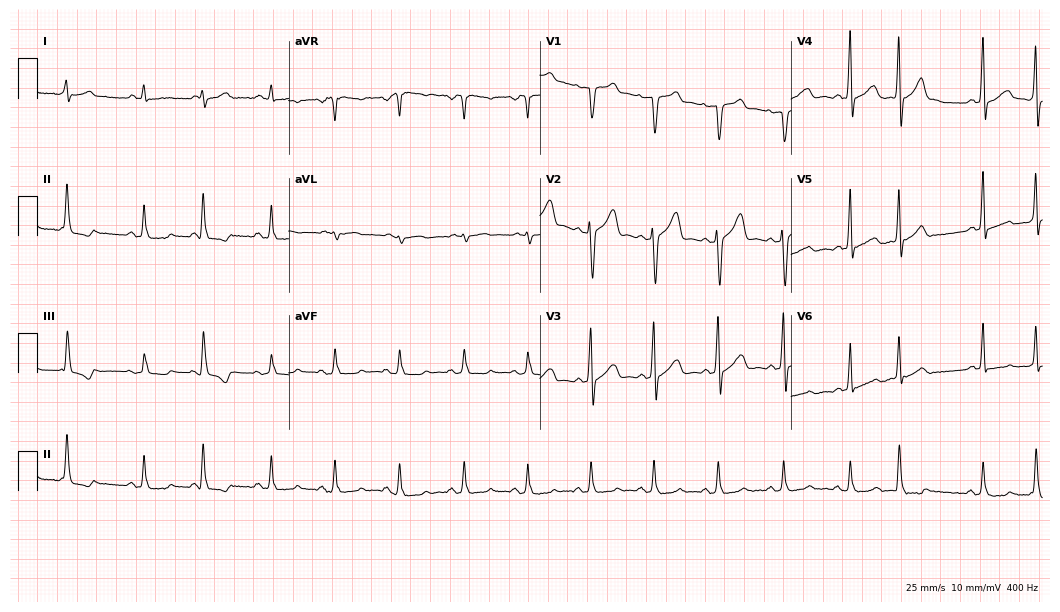
ECG (10.2-second recording at 400 Hz) — a male patient, 57 years old. Screened for six findings — first-degree AV block, right bundle branch block, left bundle branch block, sinus bradycardia, atrial fibrillation, sinus tachycardia — none is recorded. Only these six findings were labelled.